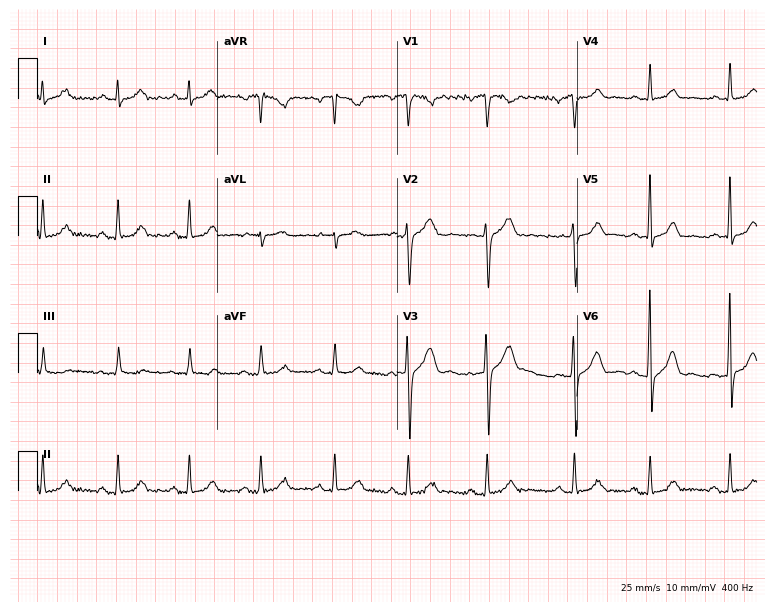
ECG — a man, 42 years old. Labelled as a normal ECG.